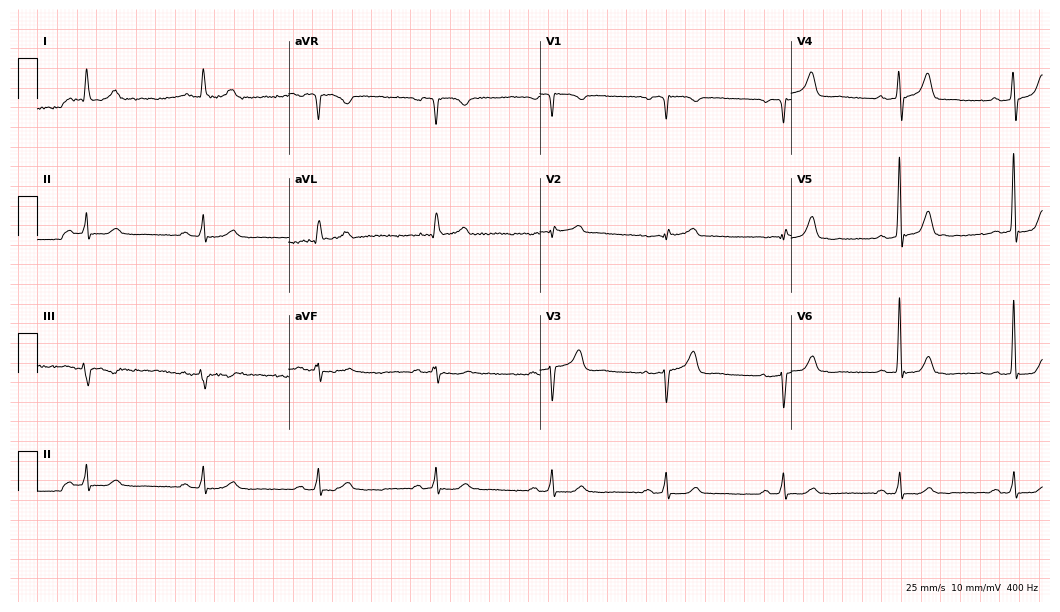
Electrocardiogram (10.2-second recording at 400 Hz), a man, 82 years old. Overall reading on record: normal ECG.